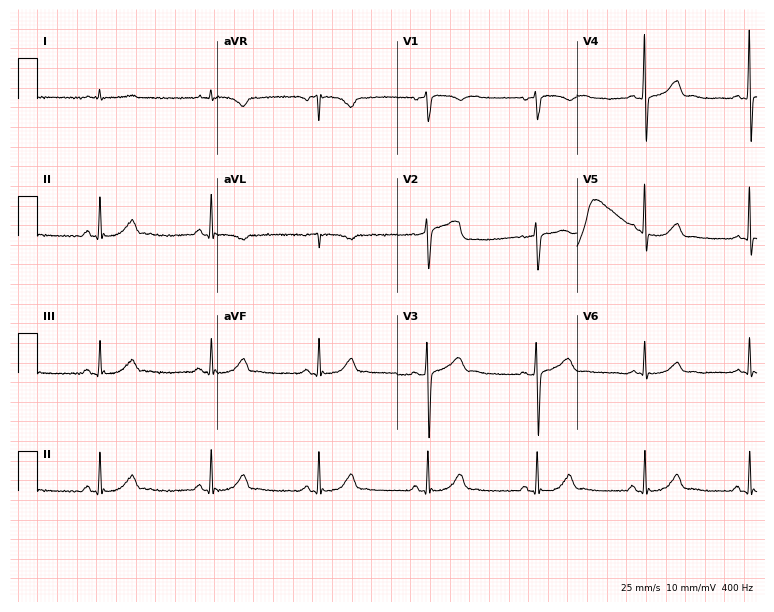
Electrocardiogram (7.3-second recording at 400 Hz), a female, 78 years old. Overall reading on record: normal ECG.